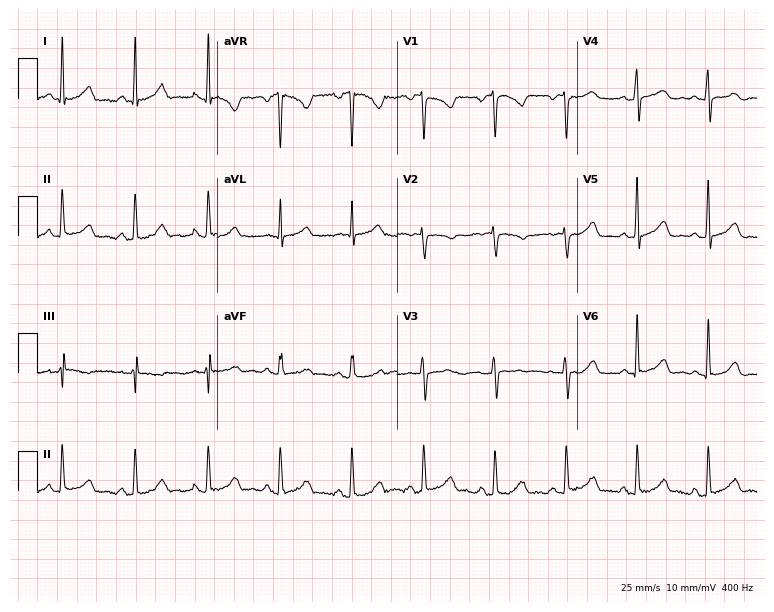
Resting 12-lead electrocardiogram. Patient: a female, 56 years old. Read as a normal ECG.